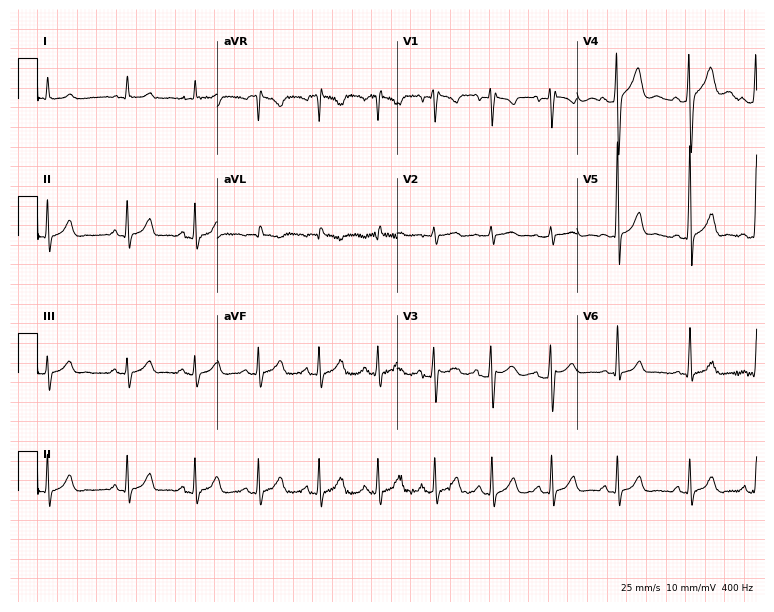
Standard 12-lead ECG recorded from a male, 20 years old (7.3-second recording at 400 Hz). Read as a normal ECG.